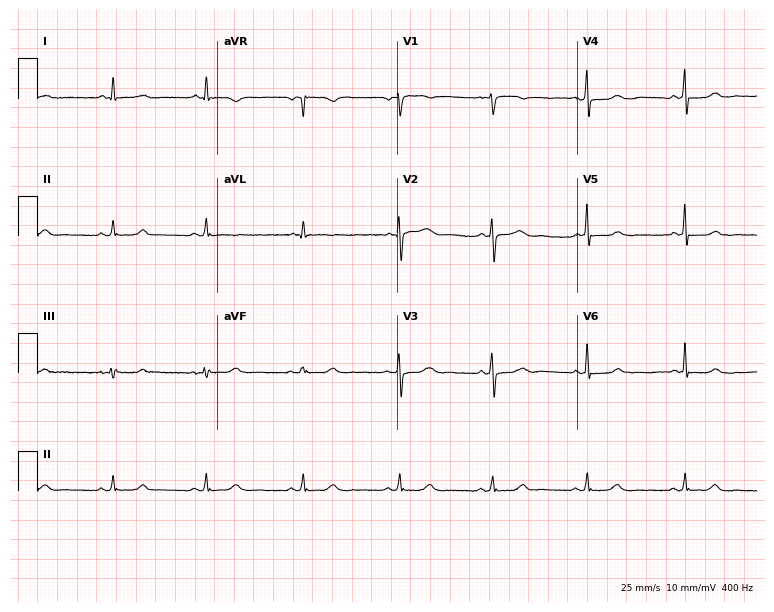
ECG — a female patient, 47 years old. Labelled as a normal ECG.